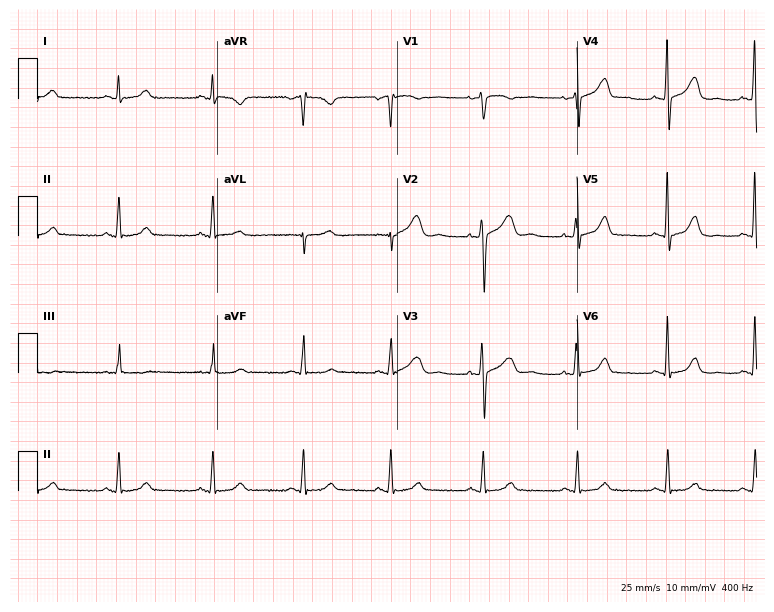
Resting 12-lead electrocardiogram (7.3-second recording at 400 Hz). Patient: a female, 41 years old. Read as a normal ECG.